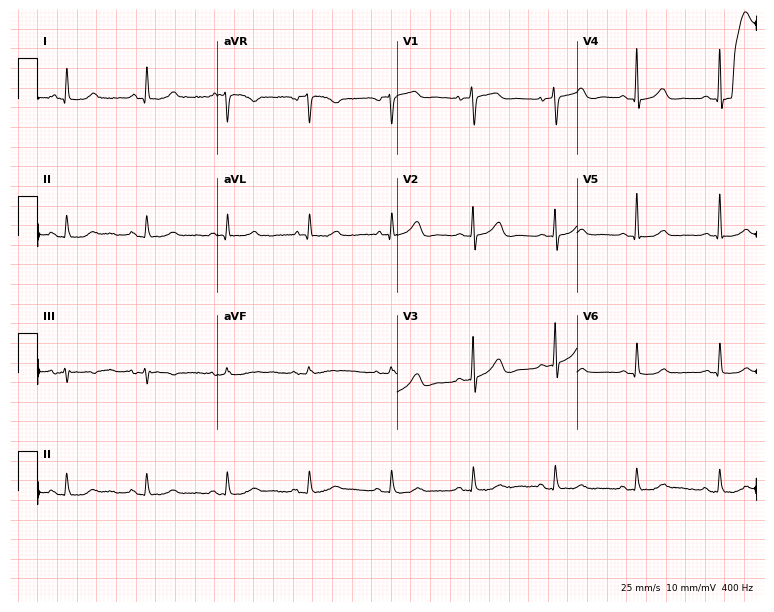
Resting 12-lead electrocardiogram (7.3-second recording at 400 Hz). Patient: a female, 82 years old. None of these six findings is recorded: first-degree AV block, right bundle branch block, left bundle branch block, sinus bradycardia, atrial fibrillation, sinus tachycardia.